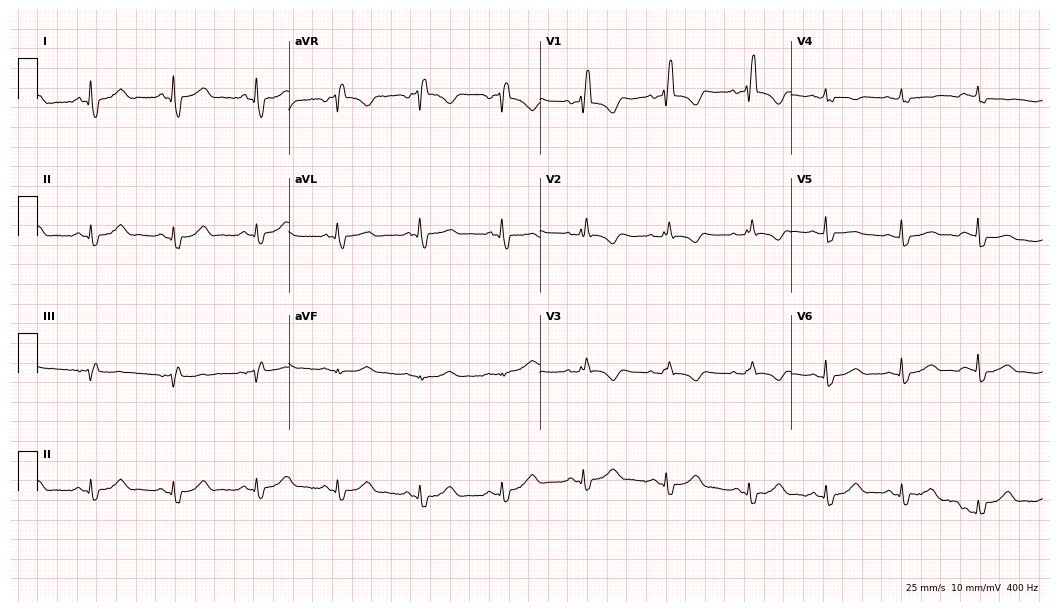
Standard 12-lead ECG recorded from a 79-year-old female (10.2-second recording at 400 Hz). The tracing shows right bundle branch block.